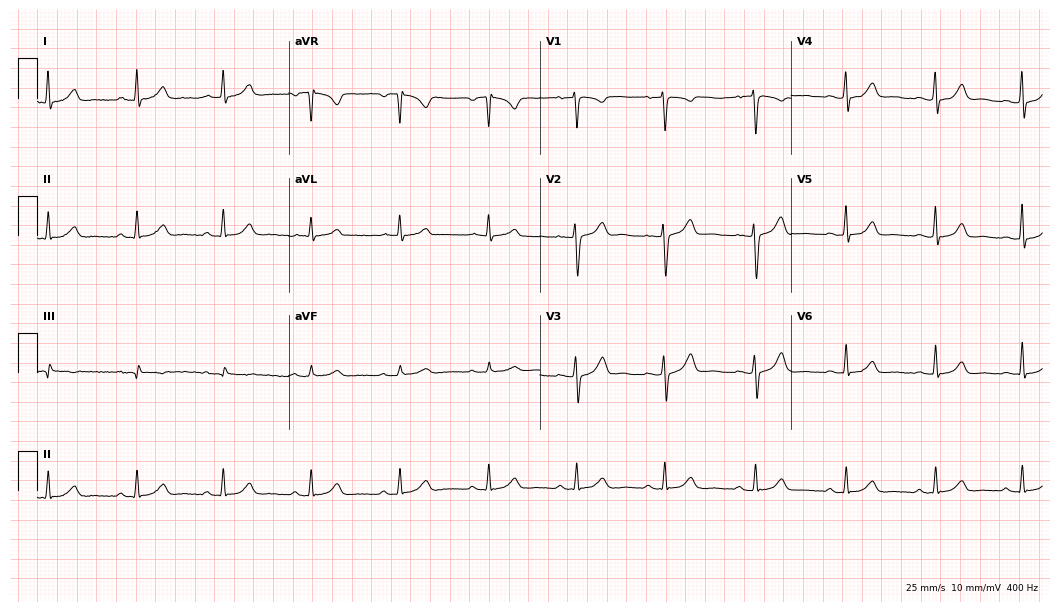
Standard 12-lead ECG recorded from a woman, 48 years old. Read as a normal ECG.